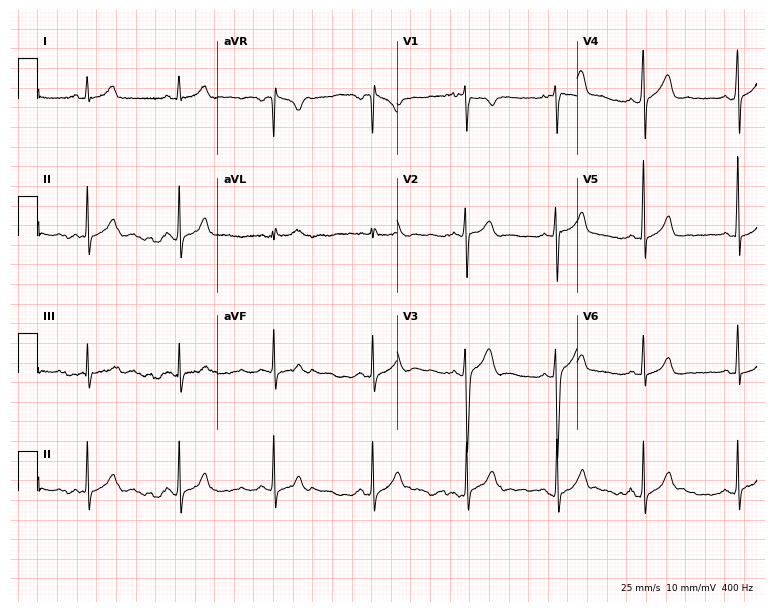
Electrocardiogram (7.3-second recording at 400 Hz), a man, 25 years old. Overall reading on record: normal ECG.